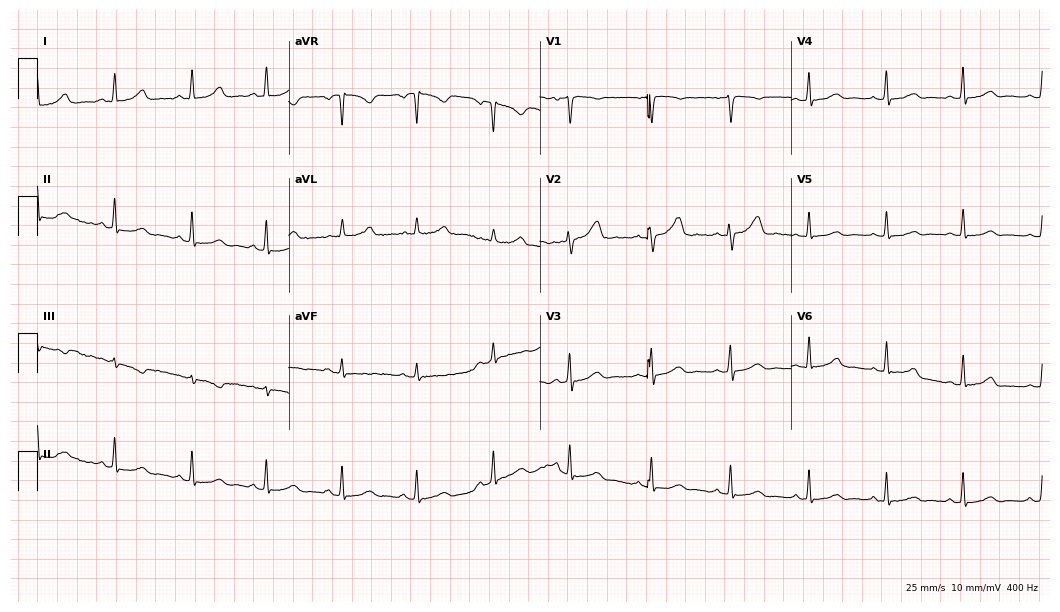
Standard 12-lead ECG recorded from a female patient, 55 years old. Read as a normal ECG.